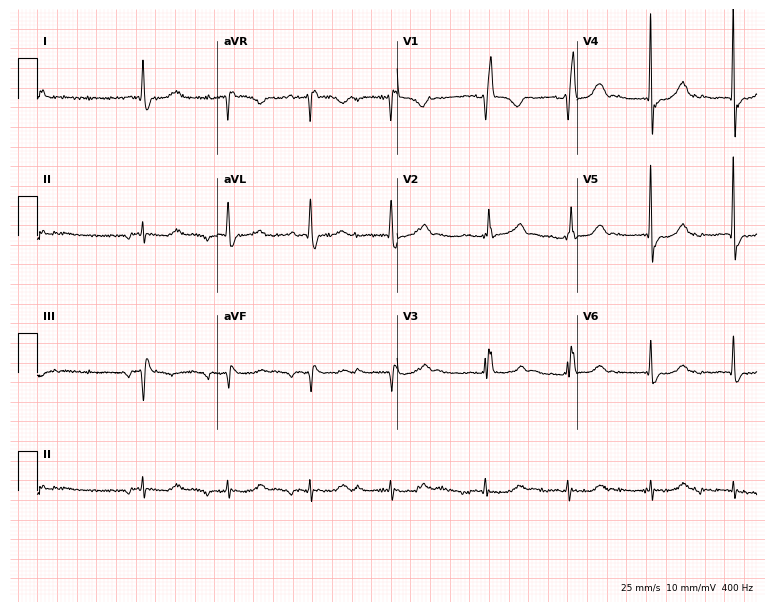
12-lead ECG from a woman, 85 years old. Findings include first-degree AV block, atrial fibrillation.